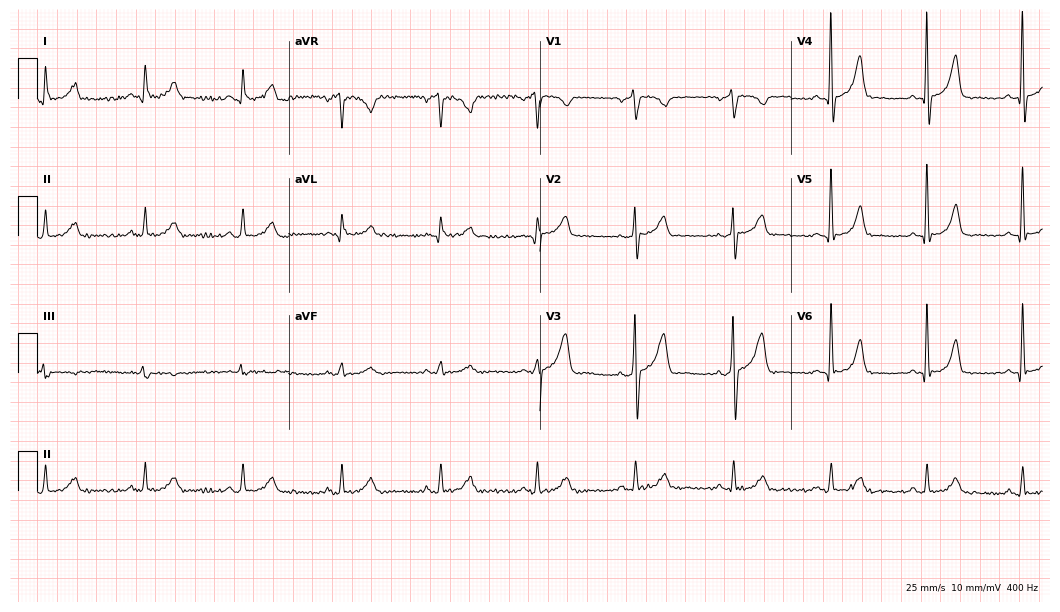
Resting 12-lead electrocardiogram (10.2-second recording at 400 Hz). Patient: a 66-year-old man. Read as a normal ECG.